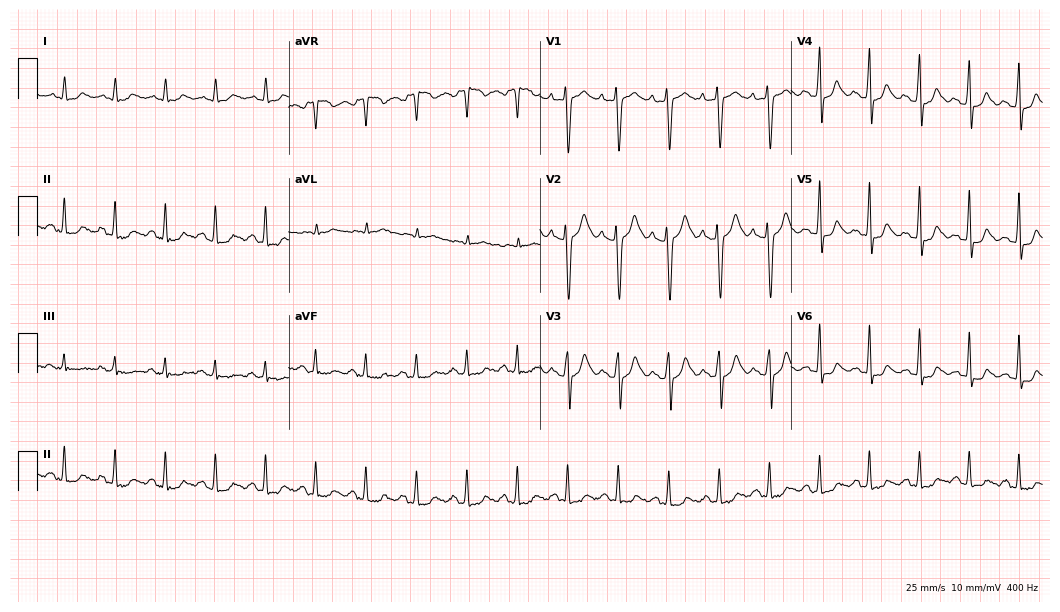
Standard 12-lead ECG recorded from a 34-year-old female patient. The tracing shows sinus tachycardia (a sinus rate of 100 beats per minute or more).